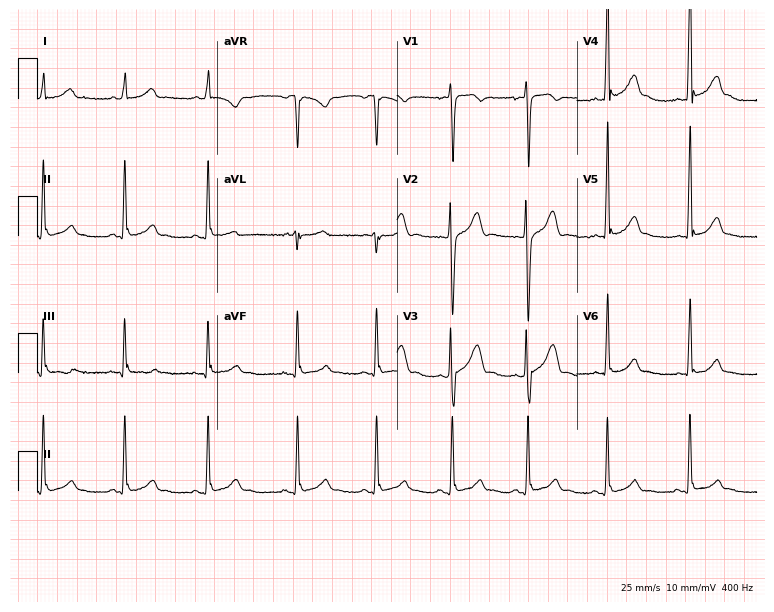
ECG (7.3-second recording at 400 Hz) — a male, 18 years old. Labelled as a normal ECG.